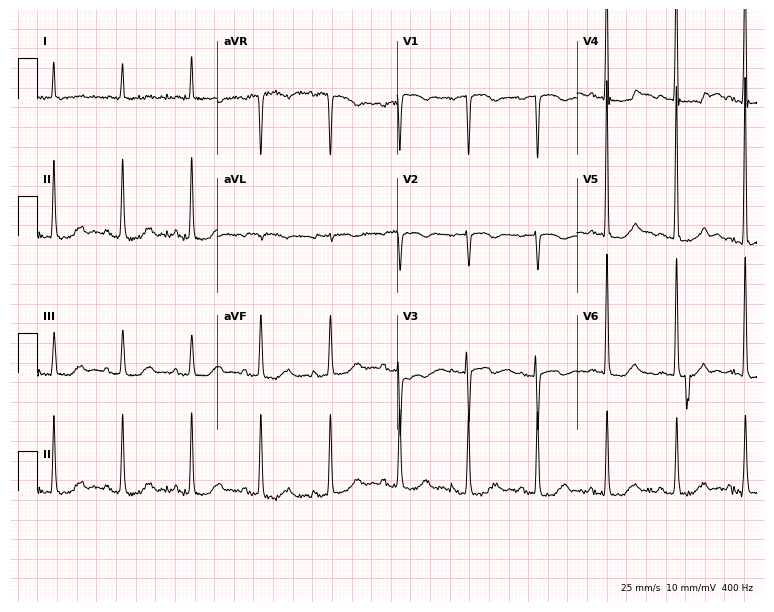
12-lead ECG from an 80-year-old female patient (7.3-second recording at 400 Hz). No first-degree AV block, right bundle branch block, left bundle branch block, sinus bradycardia, atrial fibrillation or sinus tachycardia recorded for this tracing. Only these six findings were labelled.